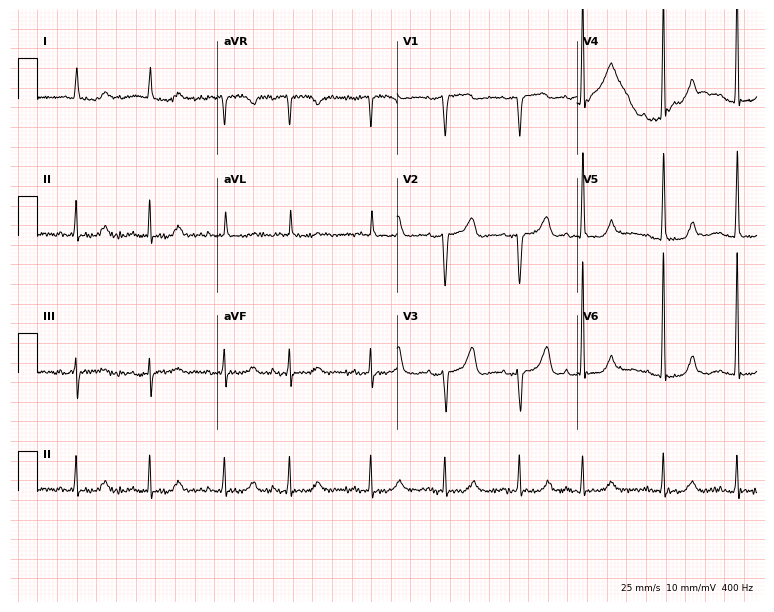
Resting 12-lead electrocardiogram. Patient: an 83-year-old female. None of these six findings is recorded: first-degree AV block, right bundle branch block, left bundle branch block, sinus bradycardia, atrial fibrillation, sinus tachycardia.